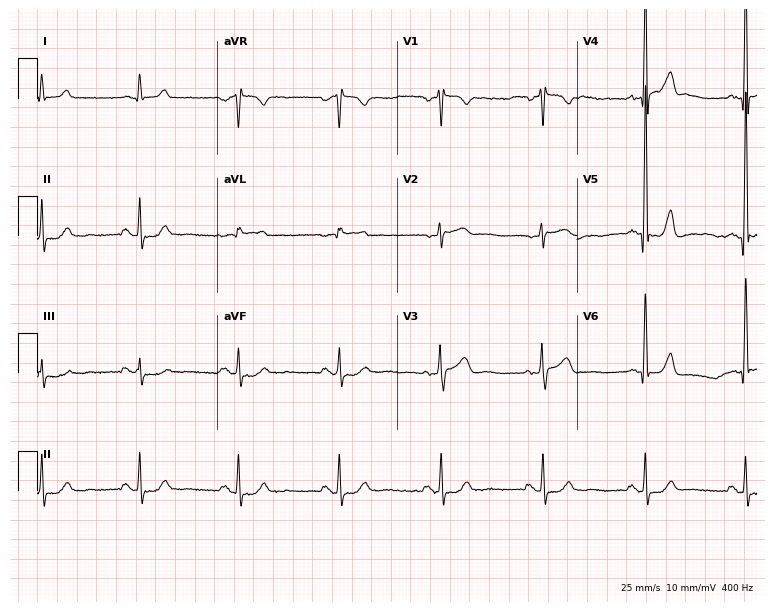
Standard 12-lead ECG recorded from a 57-year-old male patient. None of these six findings is recorded: first-degree AV block, right bundle branch block (RBBB), left bundle branch block (LBBB), sinus bradycardia, atrial fibrillation (AF), sinus tachycardia. Findings outside these six are not listed.